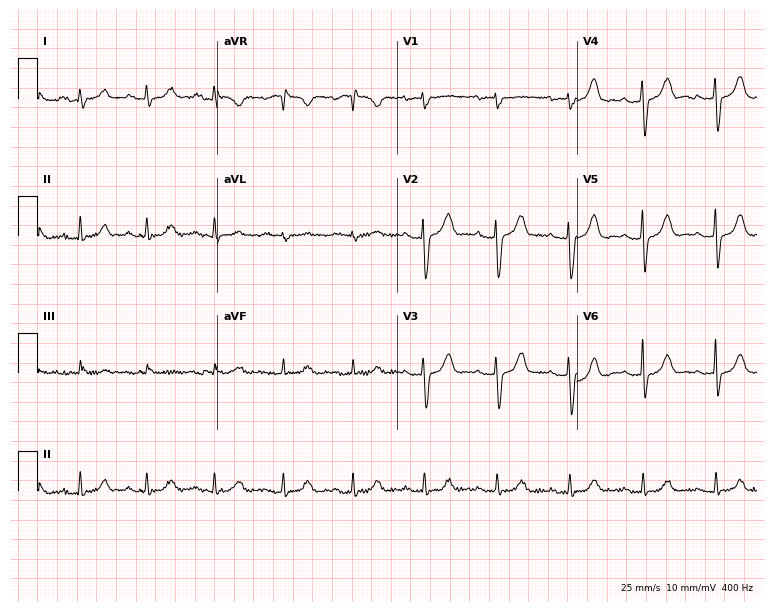
12-lead ECG from a 65-year-old woman. Recorded interpretation: within normal limits.